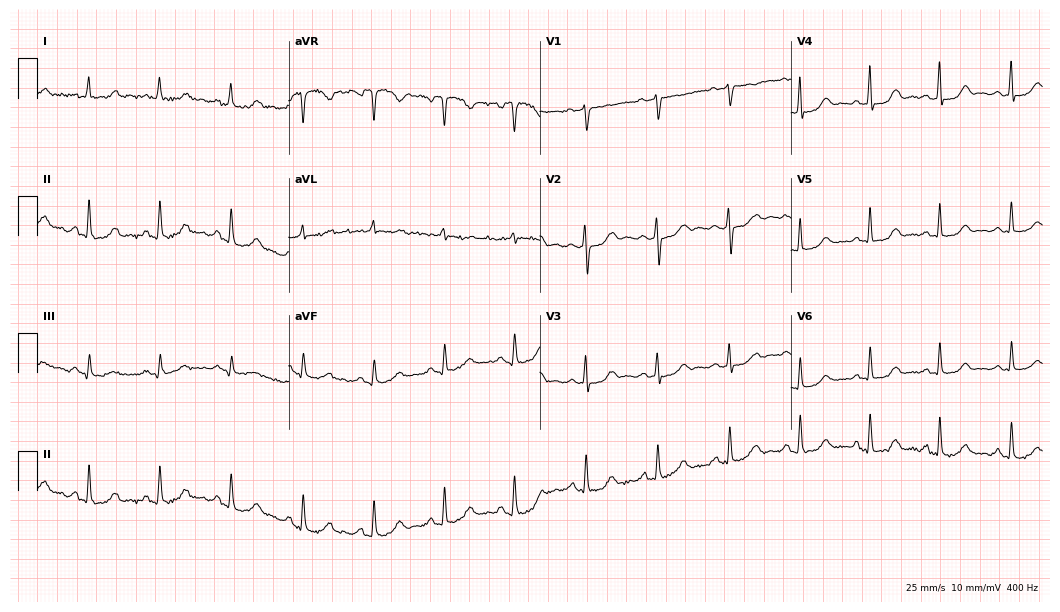
12-lead ECG from a 58-year-old female. Recorded interpretation: within normal limits.